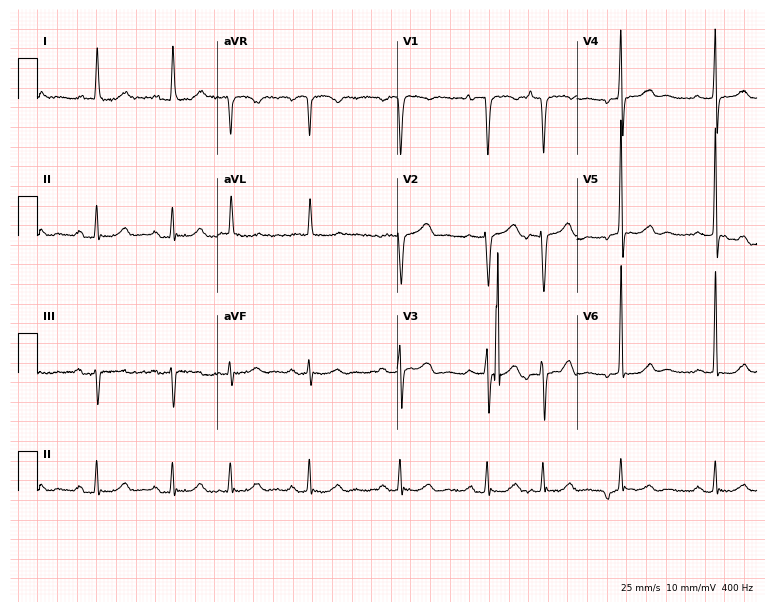
Standard 12-lead ECG recorded from a woman, 72 years old (7.3-second recording at 400 Hz). None of these six findings is recorded: first-degree AV block, right bundle branch block, left bundle branch block, sinus bradycardia, atrial fibrillation, sinus tachycardia.